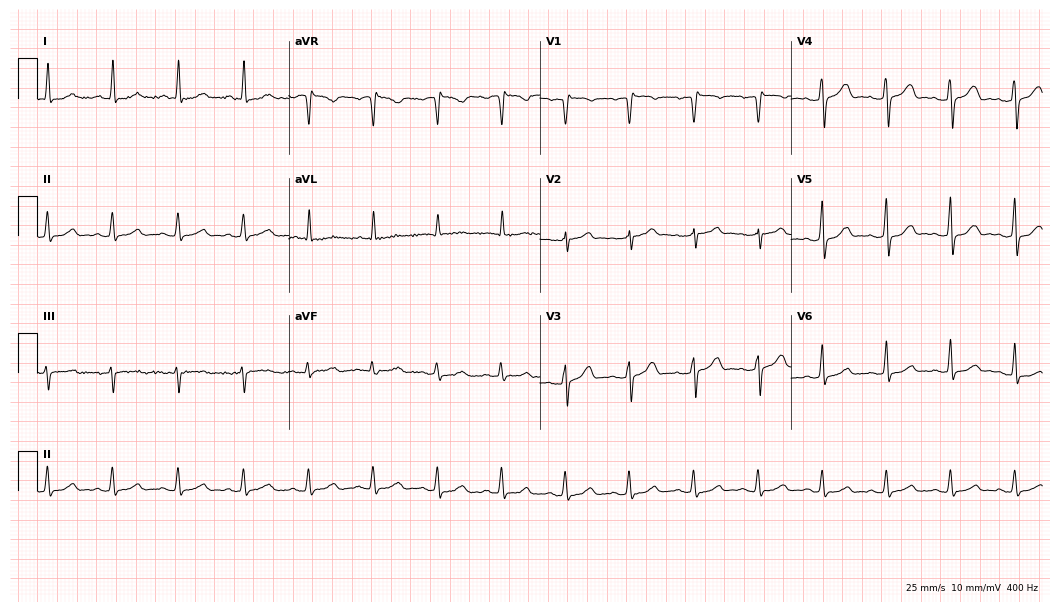
ECG — a female, 41 years old. Labelled as a normal ECG.